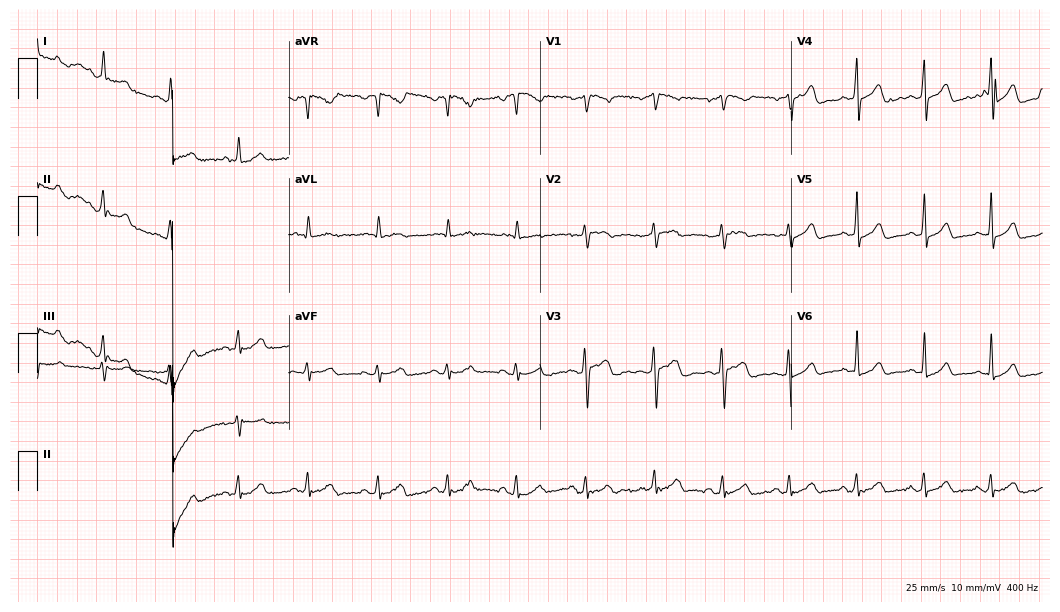
Resting 12-lead electrocardiogram. Patient: a female, 34 years old. None of these six findings is recorded: first-degree AV block, right bundle branch block, left bundle branch block, sinus bradycardia, atrial fibrillation, sinus tachycardia.